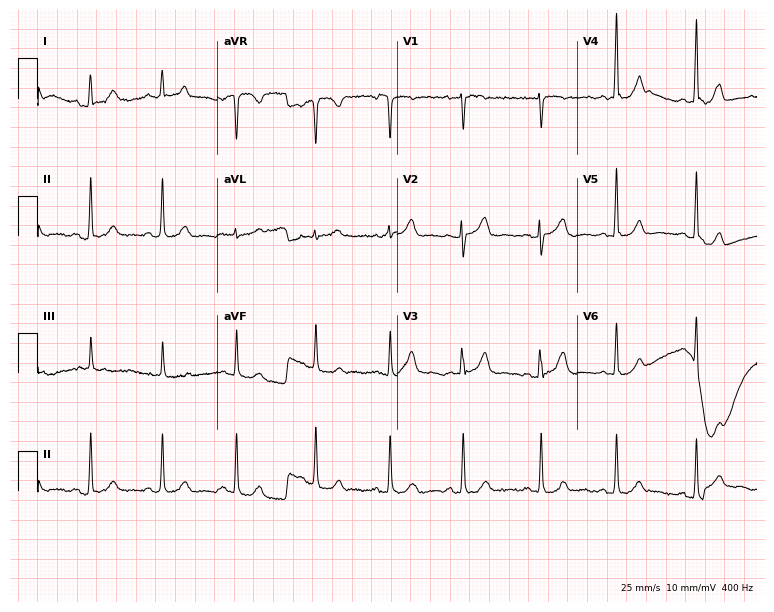
Standard 12-lead ECG recorded from a 31-year-old woman. None of these six findings is recorded: first-degree AV block, right bundle branch block (RBBB), left bundle branch block (LBBB), sinus bradycardia, atrial fibrillation (AF), sinus tachycardia.